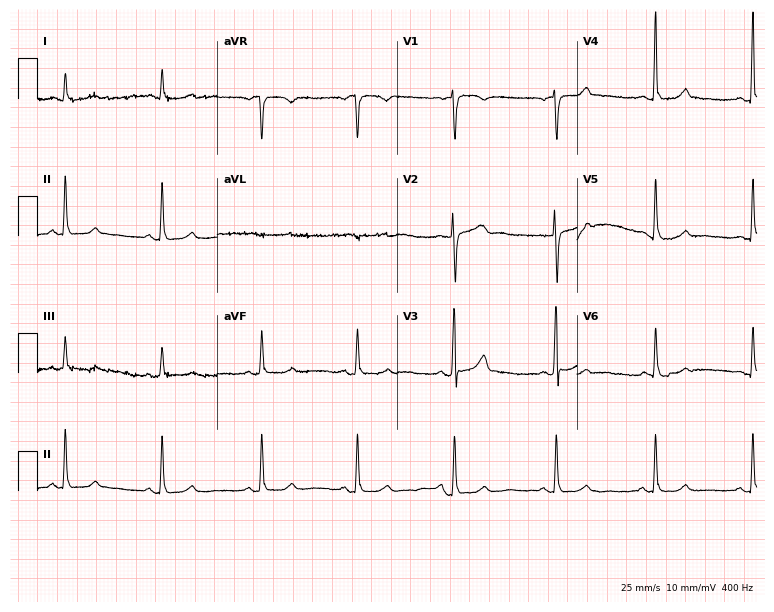
12-lead ECG from a female, 53 years old. Labelled as a normal ECG.